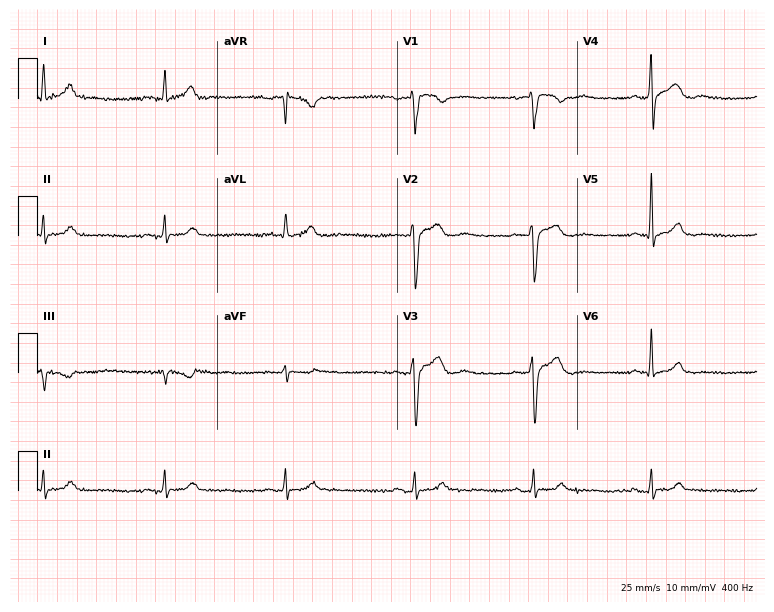
Electrocardiogram, a 45-year-old male. Of the six screened findings (first-degree AV block, right bundle branch block (RBBB), left bundle branch block (LBBB), sinus bradycardia, atrial fibrillation (AF), sinus tachycardia), none is recorded.